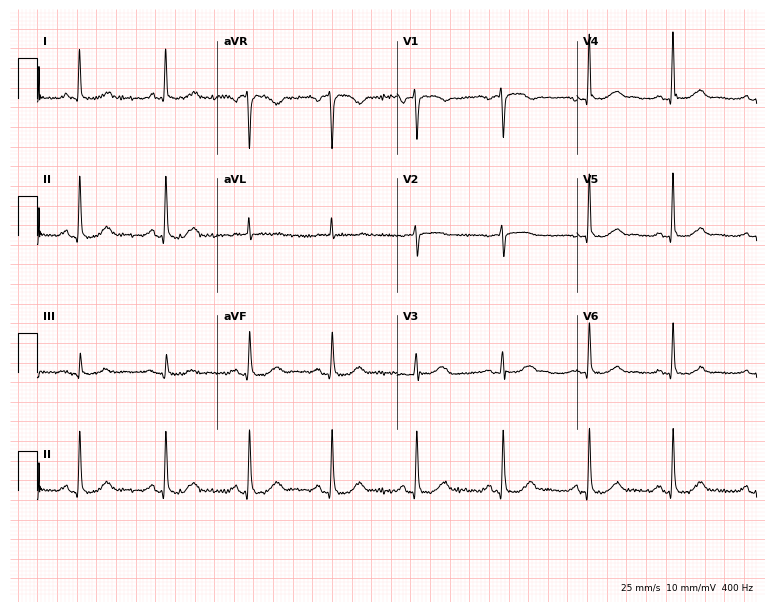
Standard 12-lead ECG recorded from a female, 65 years old. Read as a normal ECG.